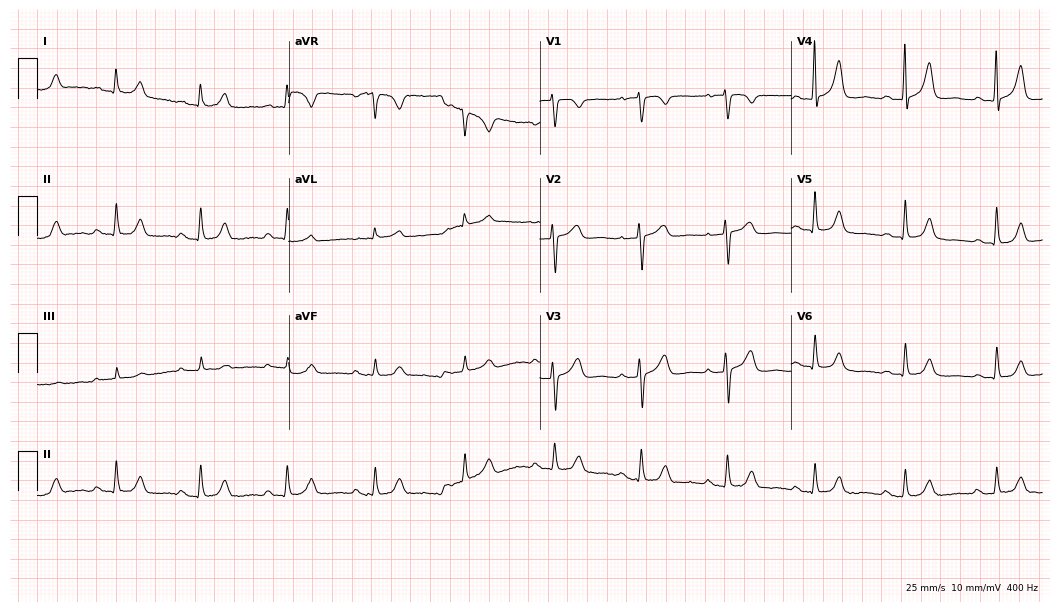
ECG (10.2-second recording at 400 Hz) — a woman, 84 years old. Findings include first-degree AV block.